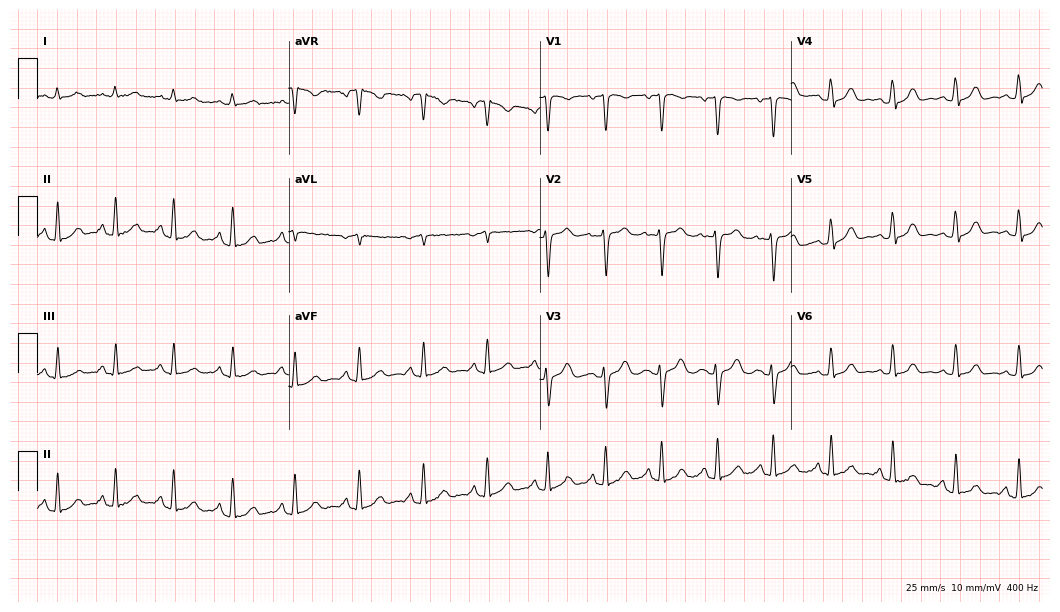
Resting 12-lead electrocardiogram (10.2-second recording at 400 Hz). Patient: a 23-year-old female. Read as a normal ECG.